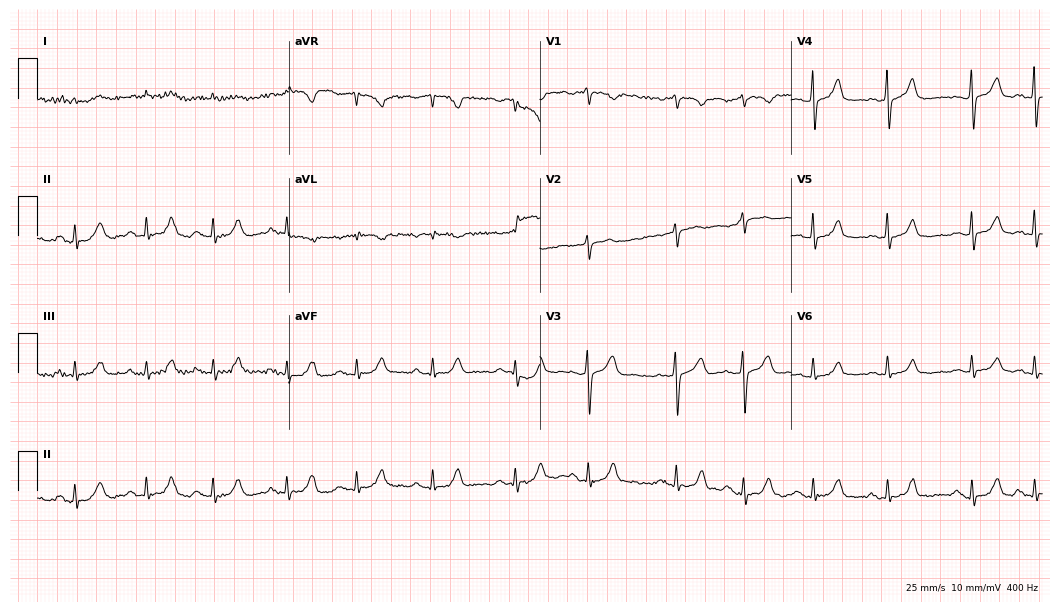
12-lead ECG from a man, 85 years old. Labelled as a normal ECG.